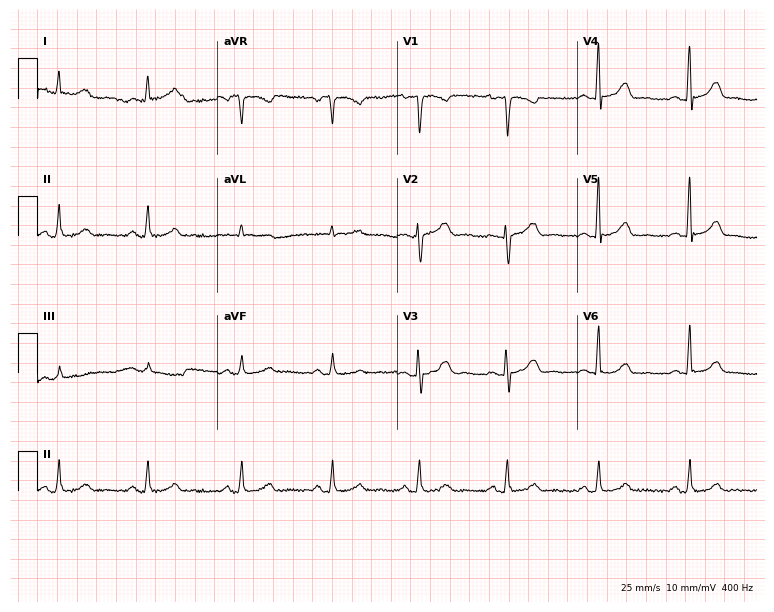
Electrocardiogram, a female, 40 years old. Of the six screened findings (first-degree AV block, right bundle branch block (RBBB), left bundle branch block (LBBB), sinus bradycardia, atrial fibrillation (AF), sinus tachycardia), none is recorded. Other findings, if any, are not listed.